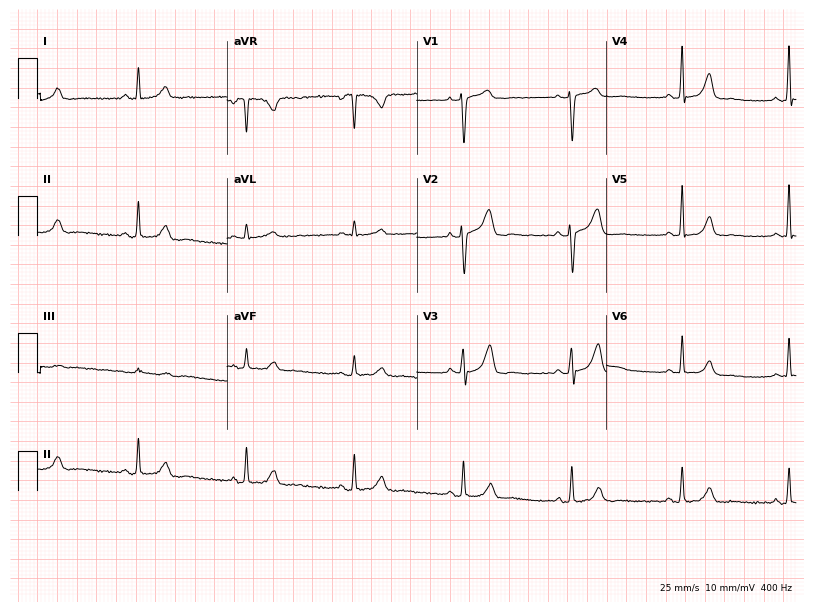
12-lead ECG from a female, 41 years old (7.7-second recording at 400 Hz). No first-degree AV block, right bundle branch block, left bundle branch block, sinus bradycardia, atrial fibrillation or sinus tachycardia recorded for this tracing. Other findings, if any, are not listed.